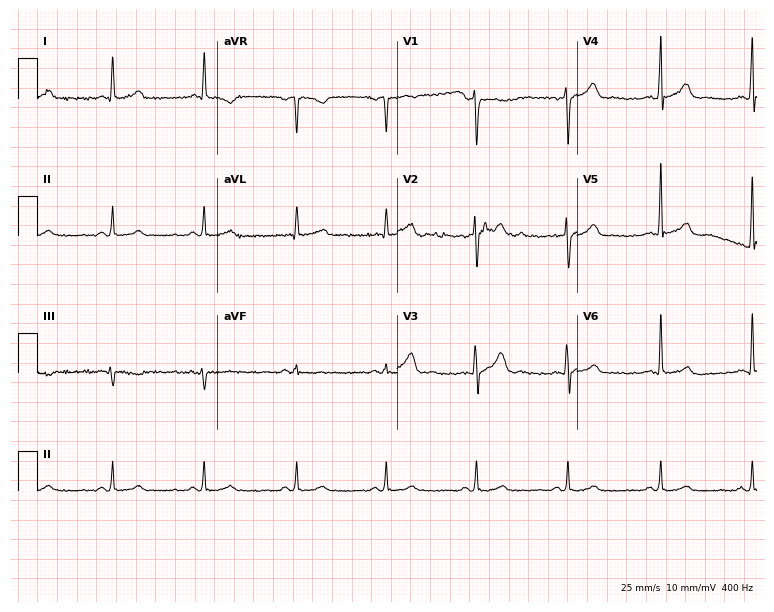
ECG — a male patient, 42 years old. Screened for six findings — first-degree AV block, right bundle branch block, left bundle branch block, sinus bradycardia, atrial fibrillation, sinus tachycardia — none is recorded. Only these six findings were labelled.